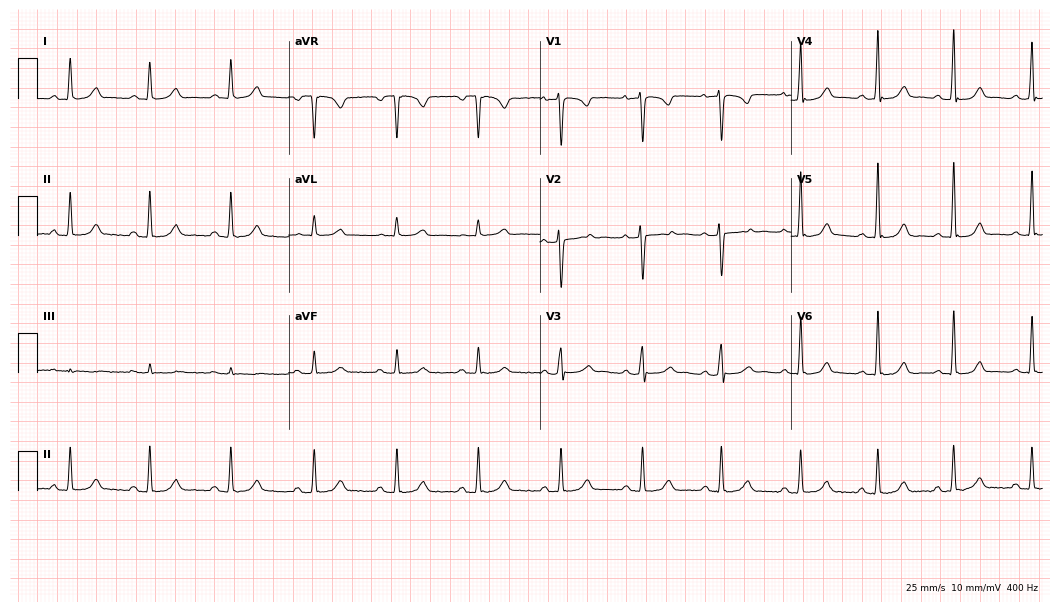
Standard 12-lead ECG recorded from a 32-year-old woman. Read as a normal ECG.